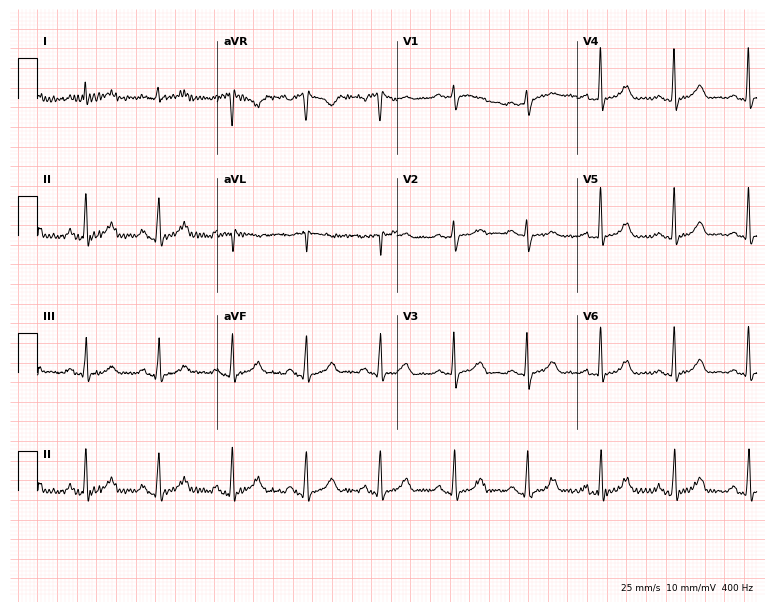
12-lead ECG from a woman, 49 years old. Recorded interpretation: within normal limits.